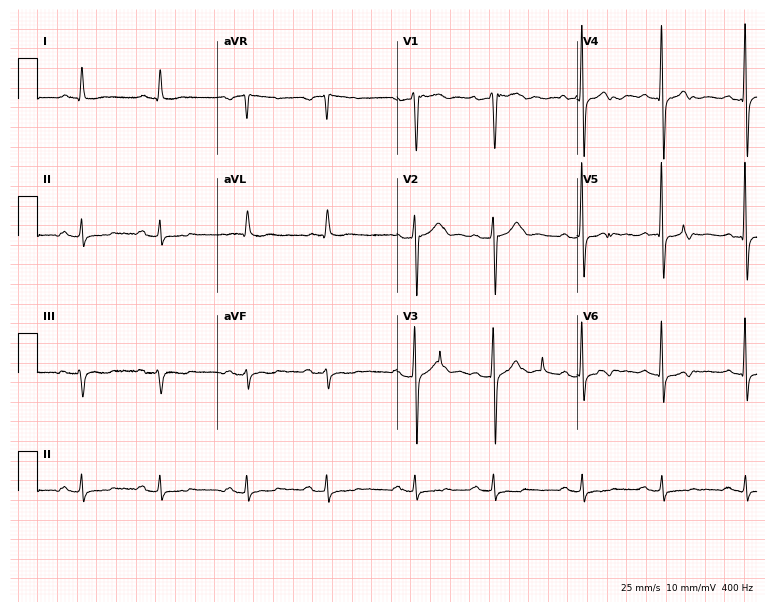
ECG — a male patient, 76 years old. Screened for six findings — first-degree AV block, right bundle branch block, left bundle branch block, sinus bradycardia, atrial fibrillation, sinus tachycardia — none is recorded. Findings outside these six are not listed.